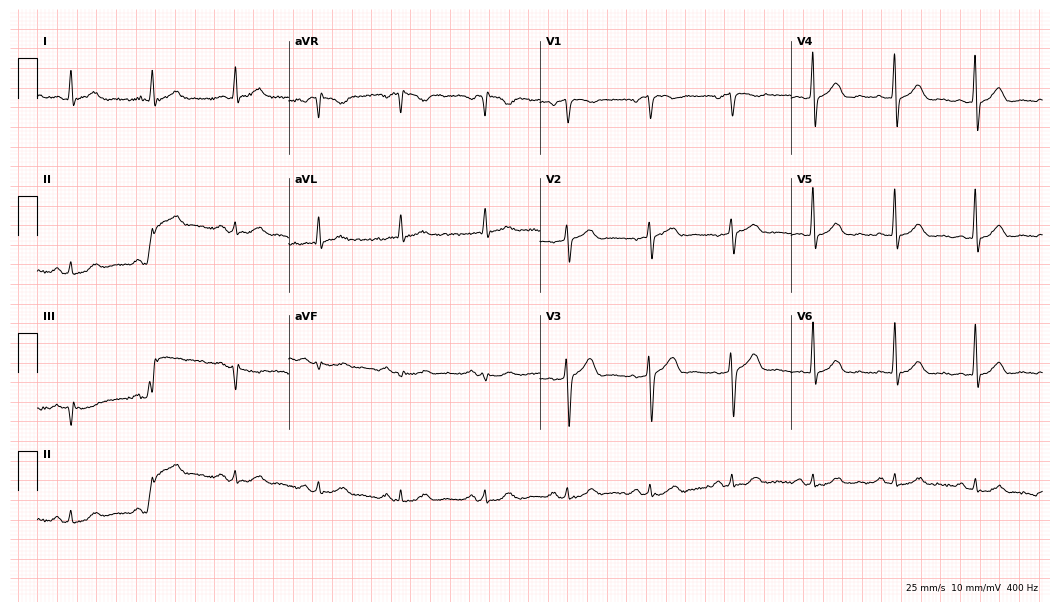
Electrocardiogram (10.2-second recording at 400 Hz), a male patient, 61 years old. Overall reading on record: normal ECG.